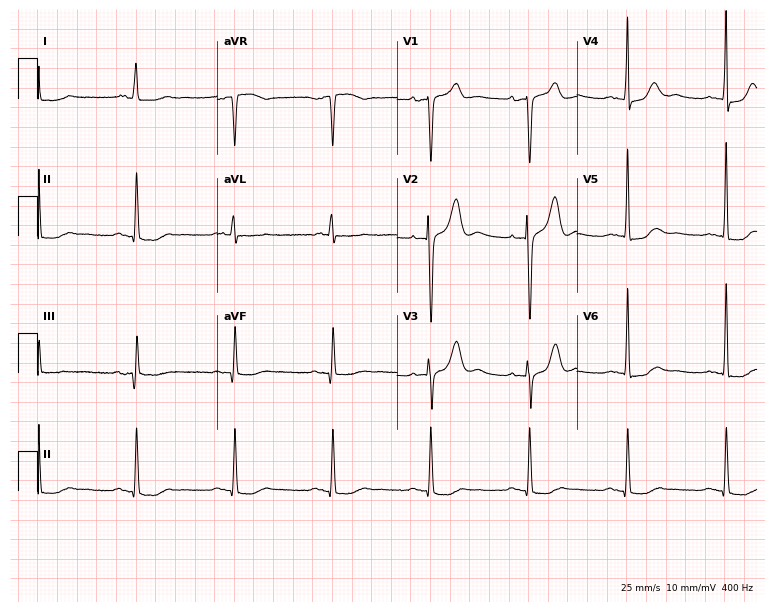
Standard 12-lead ECG recorded from an 83-year-old female (7.3-second recording at 400 Hz). None of these six findings is recorded: first-degree AV block, right bundle branch block, left bundle branch block, sinus bradycardia, atrial fibrillation, sinus tachycardia.